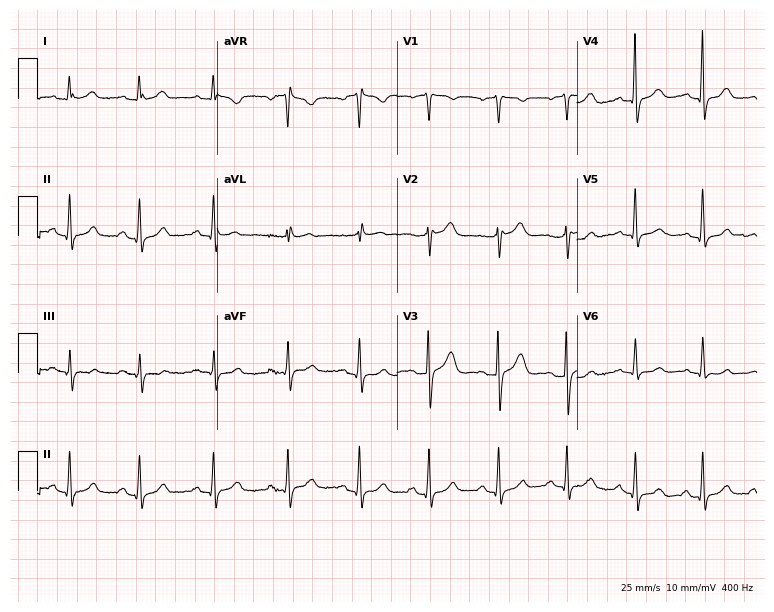
ECG — a female patient, 47 years old. Labelled as a normal ECG.